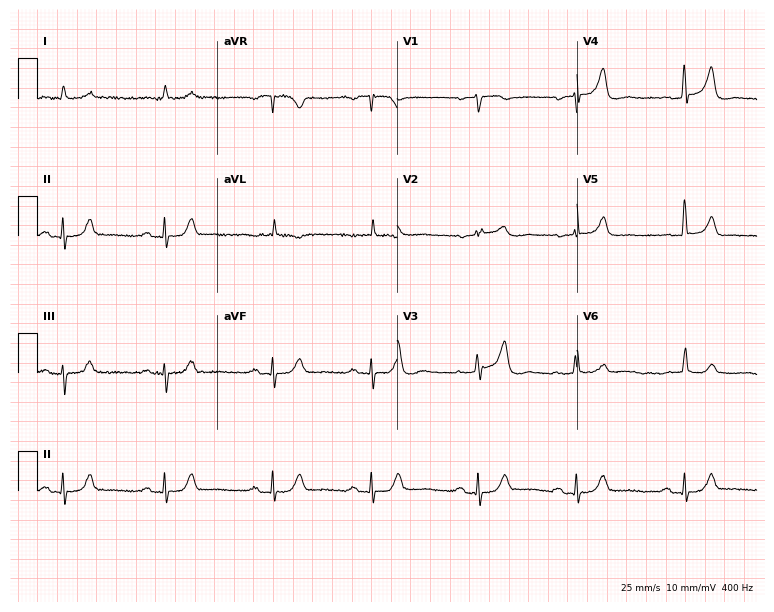
ECG (7.3-second recording at 400 Hz) — a 75-year-old man. Labelled as a normal ECG.